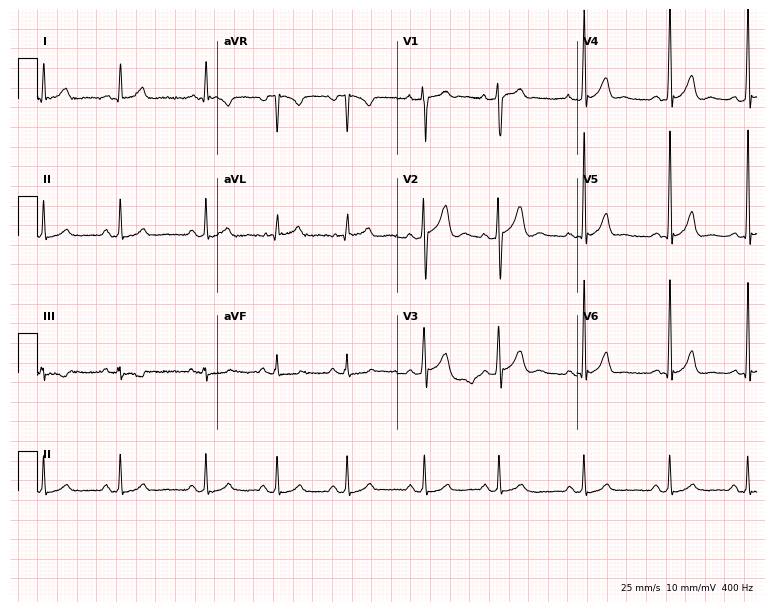
12-lead ECG from a 25-year-old male. Recorded interpretation: within normal limits.